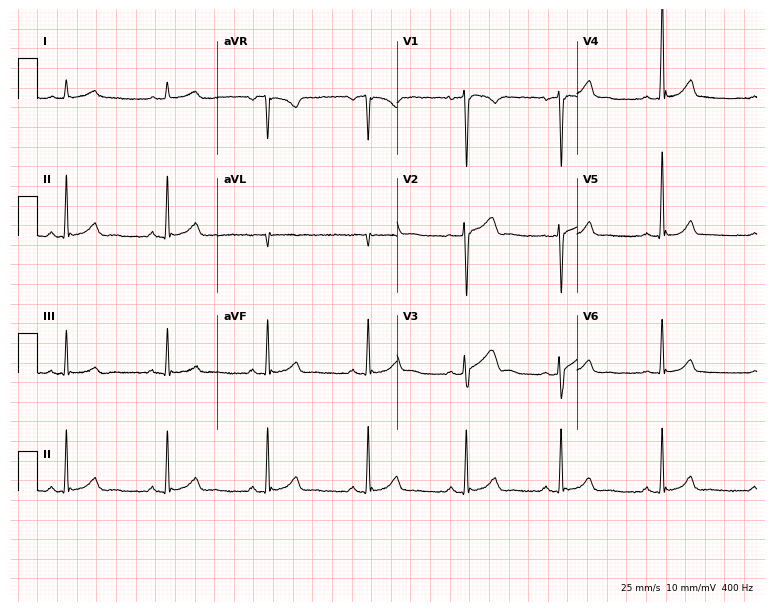
12-lead ECG from a man, 37 years old. Labelled as a normal ECG.